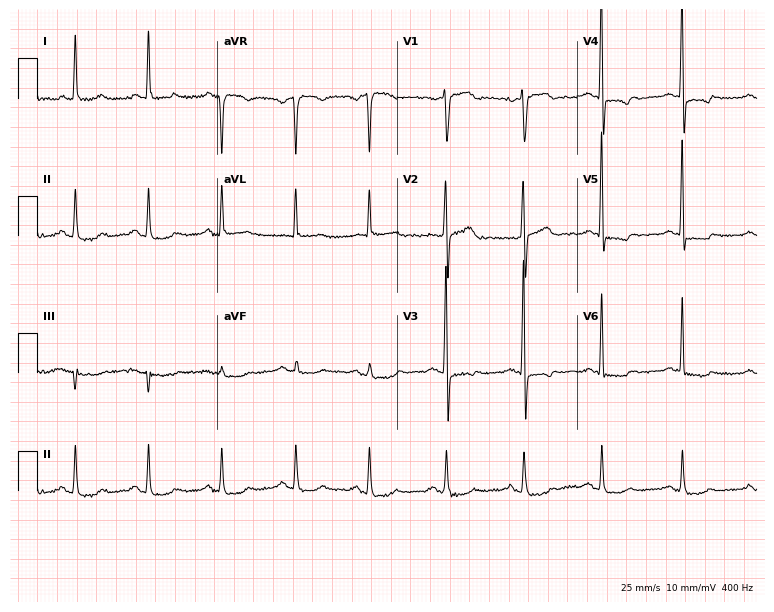
Electrocardiogram, a 67-year-old male. Of the six screened findings (first-degree AV block, right bundle branch block (RBBB), left bundle branch block (LBBB), sinus bradycardia, atrial fibrillation (AF), sinus tachycardia), none is recorded. Only these six findings were labelled.